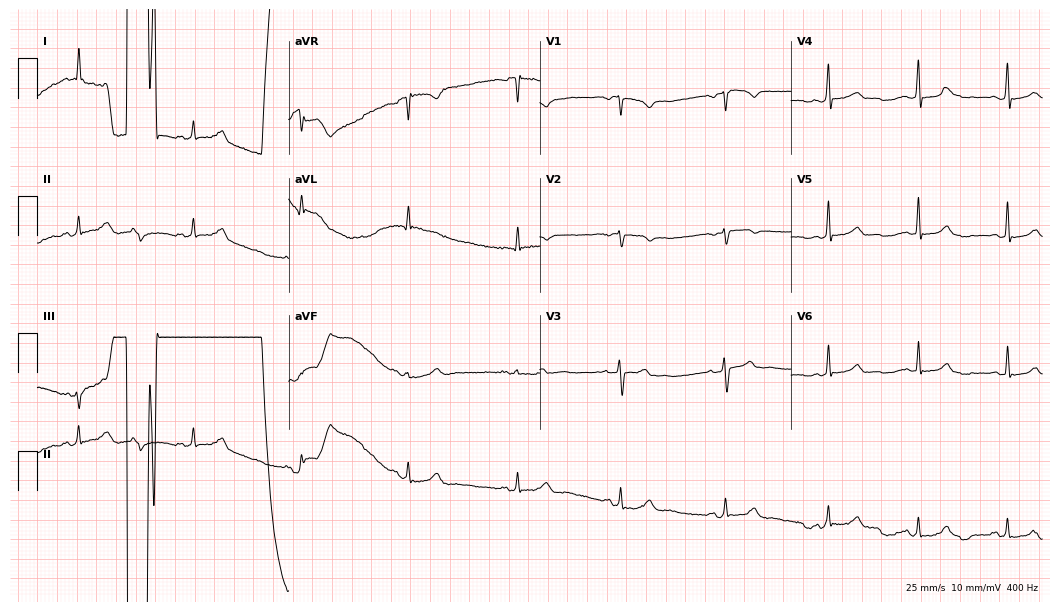
12-lead ECG (10.2-second recording at 400 Hz) from a 45-year-old woman. Screened for six findings — first-degree AV block, right bundle branch block, left bundle branch block, sinus bradycardia, atrial fibrillation, sinus tachycardia — none is recorded.